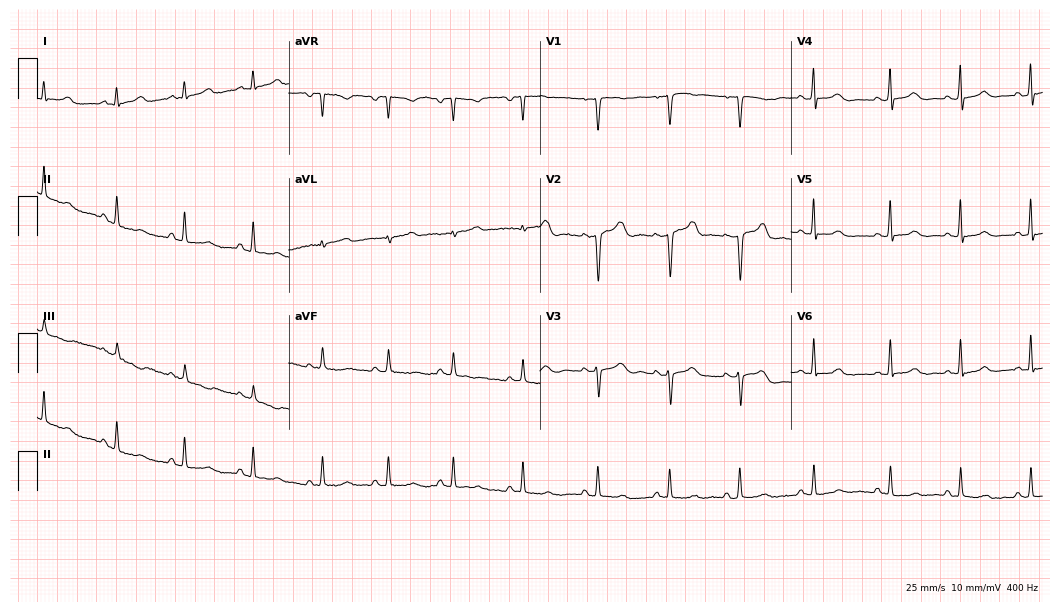
Resting 12-lead electrocardiogram. Patient: a 21-year-old woman. None of these six findings is recorded: first-degree AV block, right bundle branch block, left bundle branch block, sinus bradycardia, atrial fibrillation, sinus tachycardia. Only these six findings were labelled.